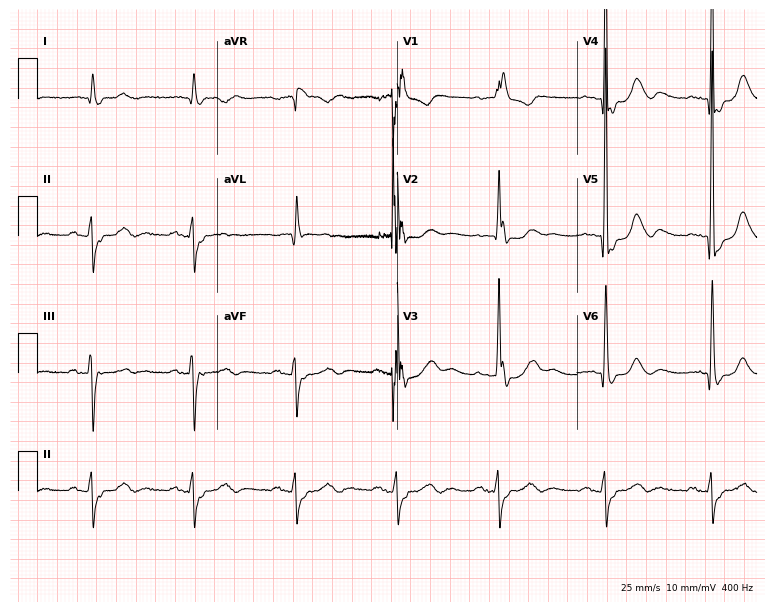
Electrocardiogram, an 84-year-old male patient. Interpretation includes right bundle branch block.